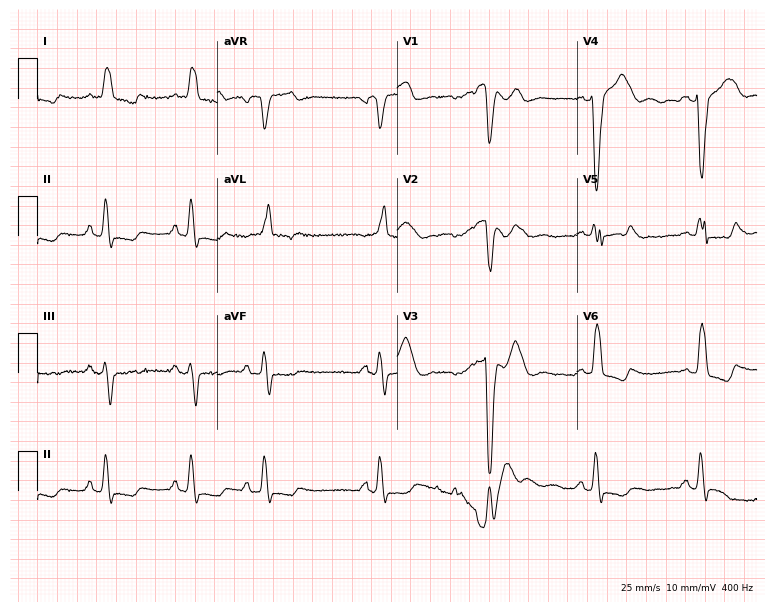
Standard 12-lead ECG recorded from a man, 61 years old (7.3-second recording at 400 Hz). The tracing shows left bundle branch block.